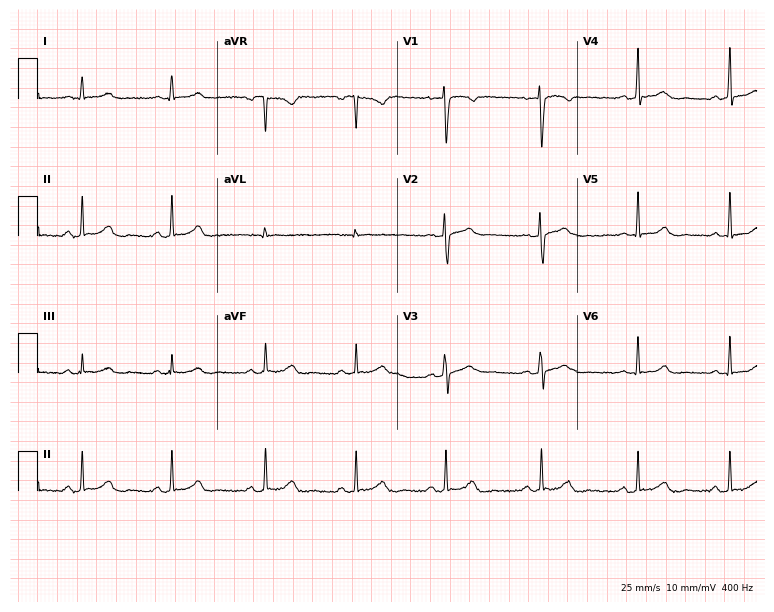
Standard 12-lead ECG recorded from a 36-year-old woman (7.3-second recording at 400 Hz). Read as a normal ECG.